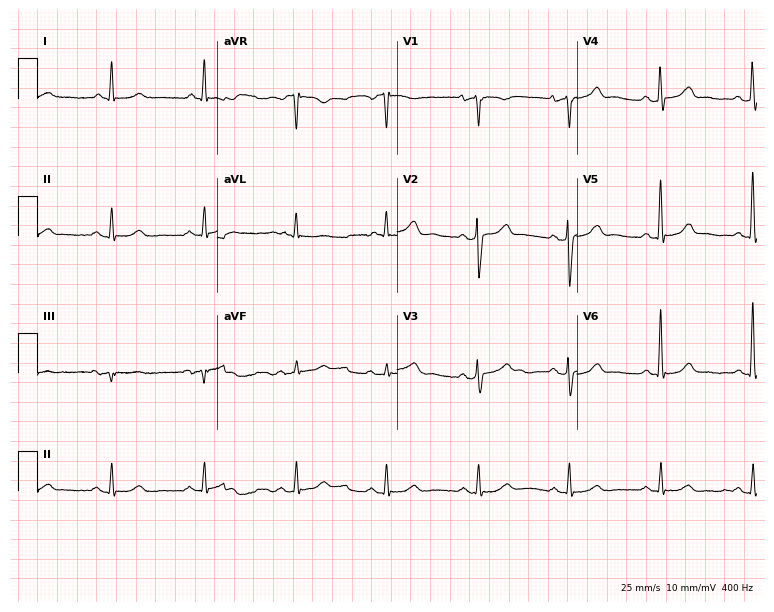
12-lead ECG from an 85-year-old man (7.3-second recording at 400 Hz). Recorded interpretation: within normal limits.